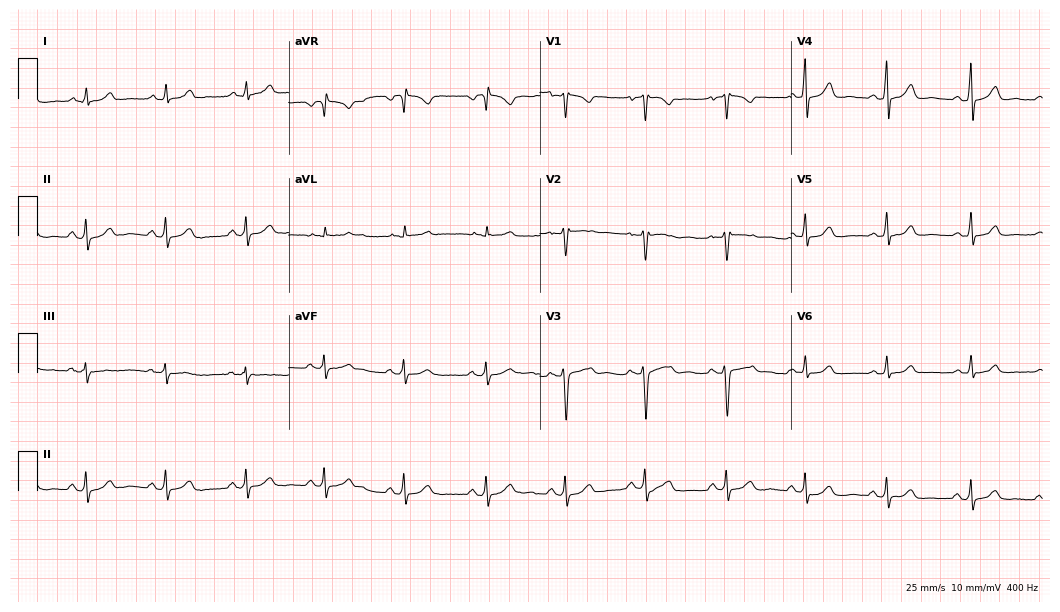
12-lead ECG from a 26-year-old female (10.2-second recording at 400 Hz). Recorded interpretation: within normal limits.